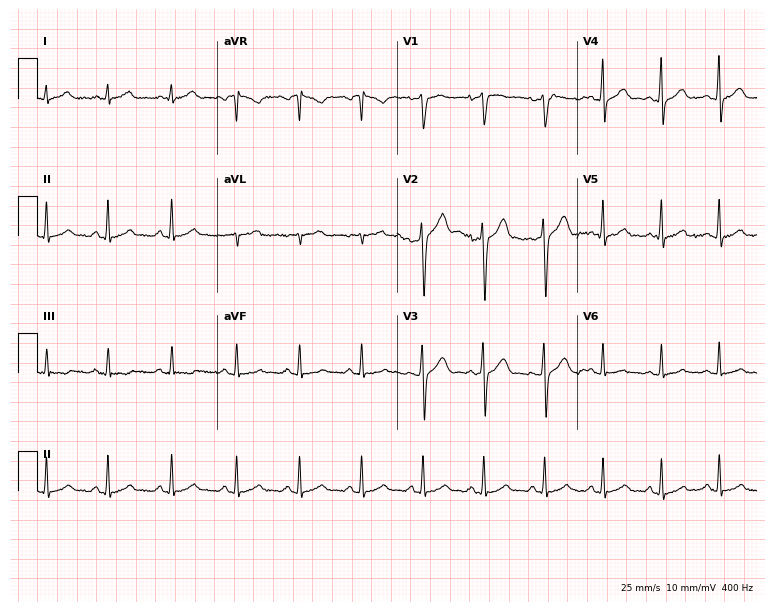
Standard 12-lead ECG recorded from a 23-year-old male patient. Read as a normal ECG.